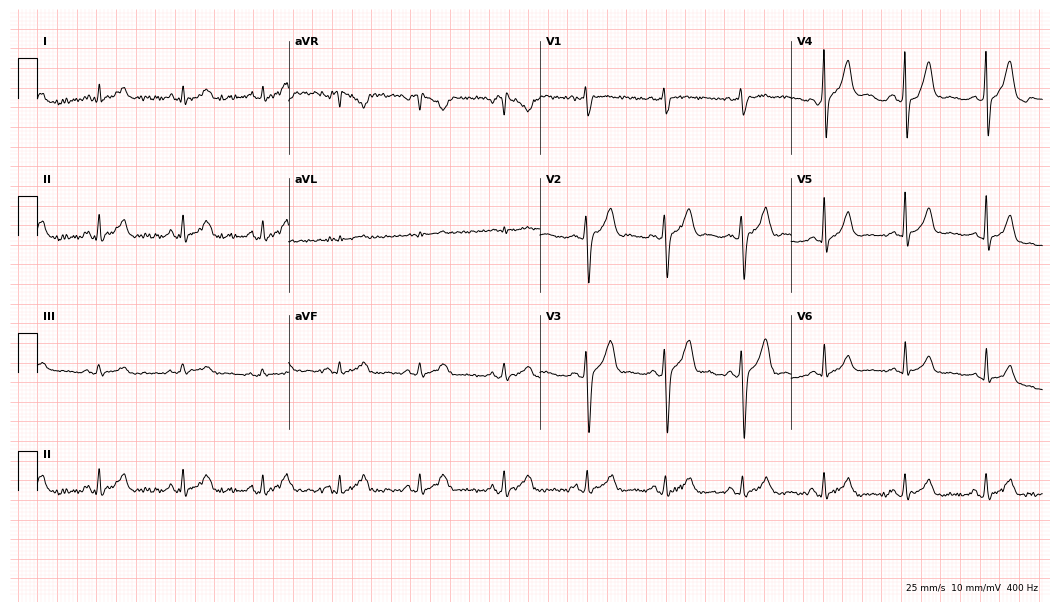
12-lead ECG from a male, 30 years old. Recorded interpretation: within normal limits.